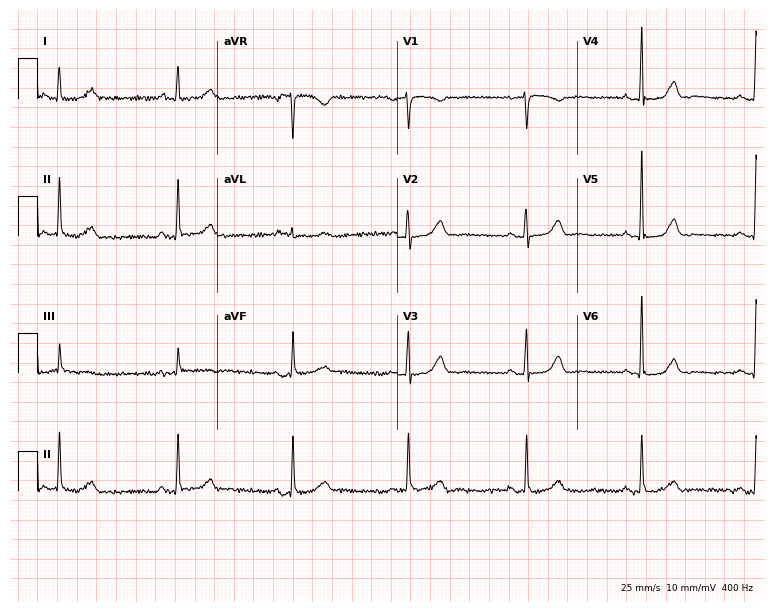
Resting 12-lead electrocardiogram. Patient: a 70-year-old female. Read as a normal ECG.